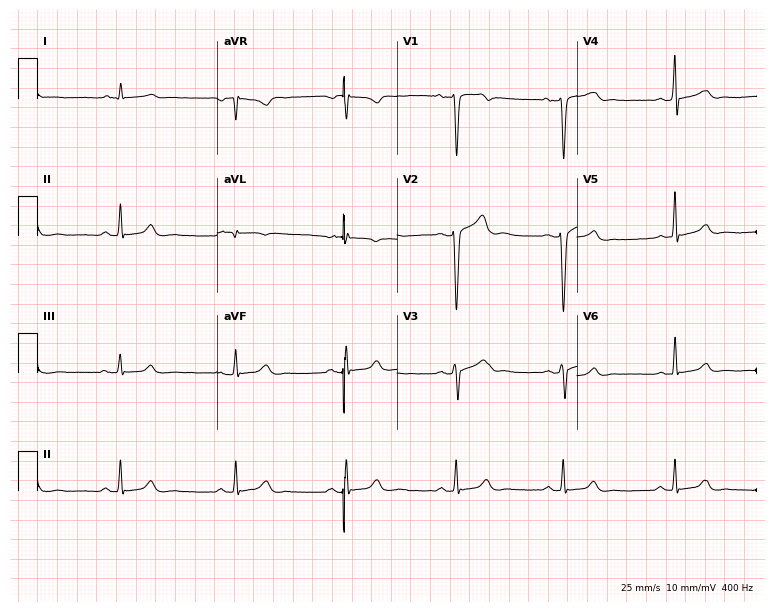
12-lead ECG from a man, 25 years old. No first-degree AV block, right bundle branch block (RBBB), left bundle branch block (LBBB), sinus bradycardia, atrial fibrillation (AF) or sinus tachycardia recorded for this tracing.